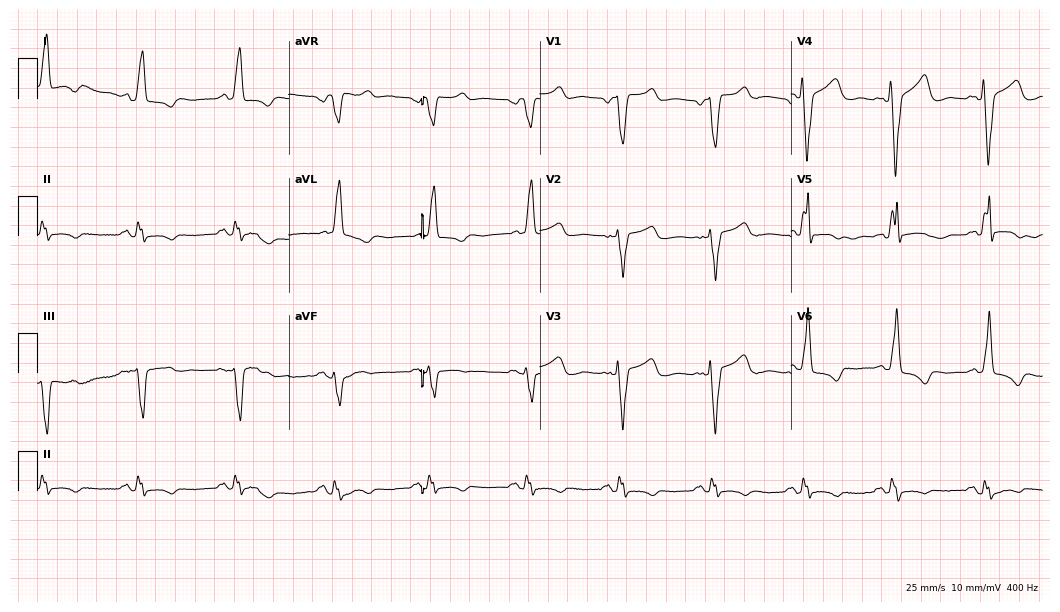
Standard 12-lead ECG recorded from an 80-year-old female patient (10.2-second recording at 400 Hz). The tracing shows left bundle branch block.